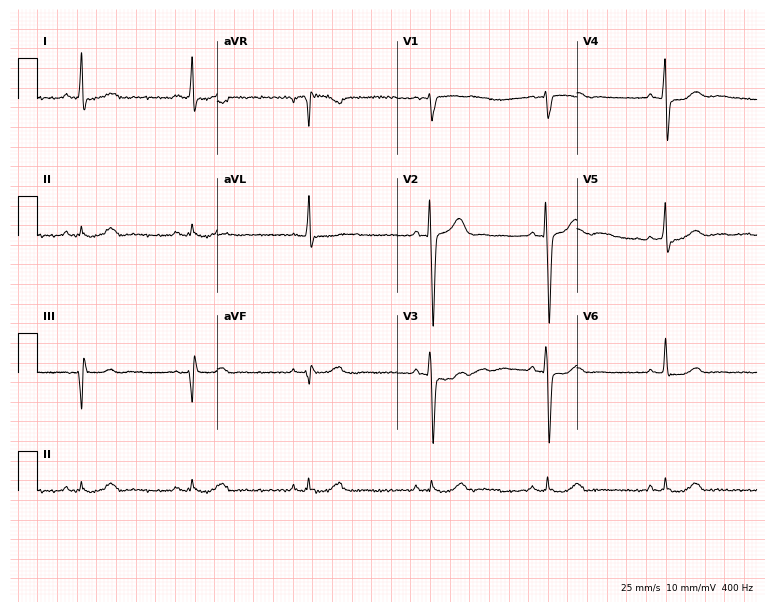
Resting 12-lead electrocardiogram. Patient: a 55-year-old male. None of these six findings is recorded: first-degree AV block, right bundle branch block, left bundle branch block, sinus bradycardia, atrial fibrillation, sinus tachycardia. Only these six findings were labelled.